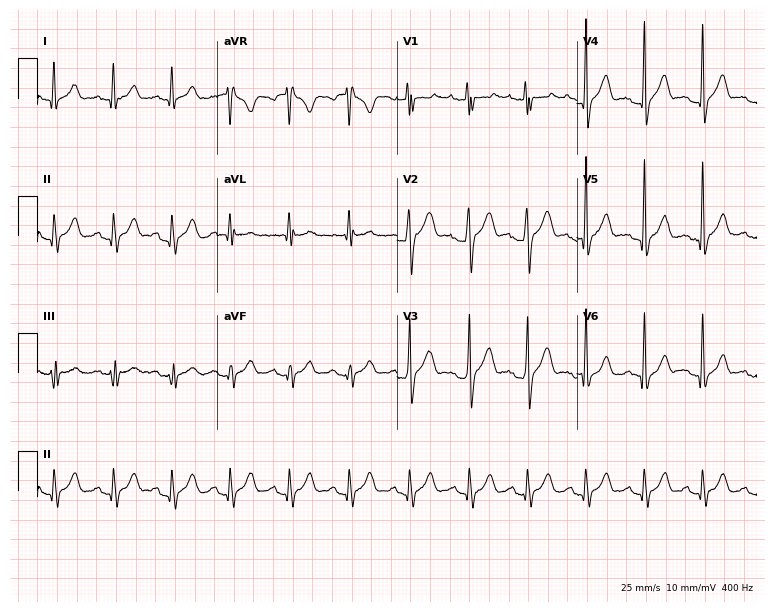
ECG — a man, 20 years old. Labelled as a normal ECG.